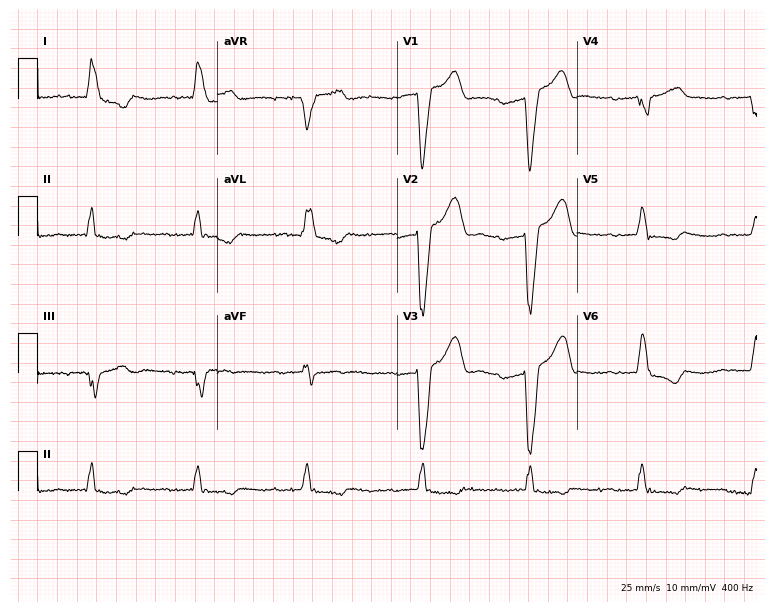
12-lead ECG from a man, 81 years old (7.3-second recording at 400 Hz). Shows first-degree AV block, left bundle branch block (LBBB).